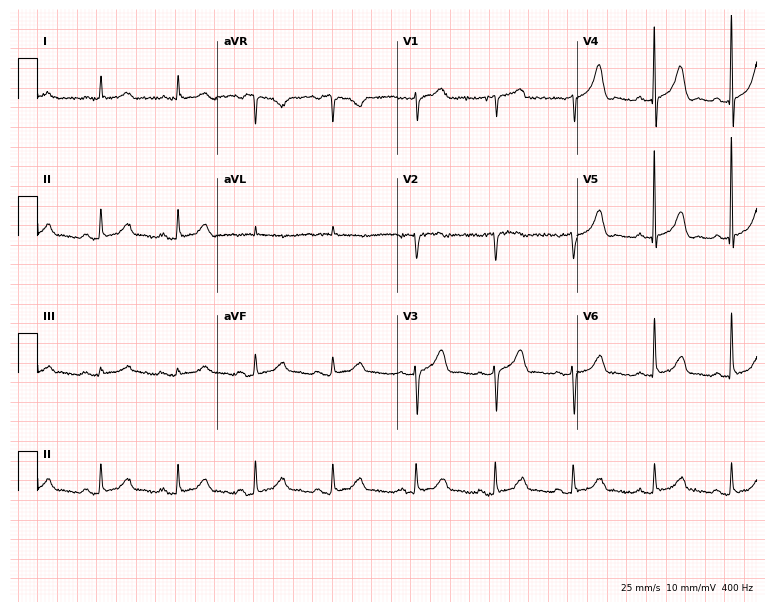
Electrocardiogram, a woman, 85 years old. Of the six screened findings (first-degree AV block, right bundle branch block, left bundle branch block, sinus bradycardia, atrial fibrillation, sinus tachycardia), none is recorded.